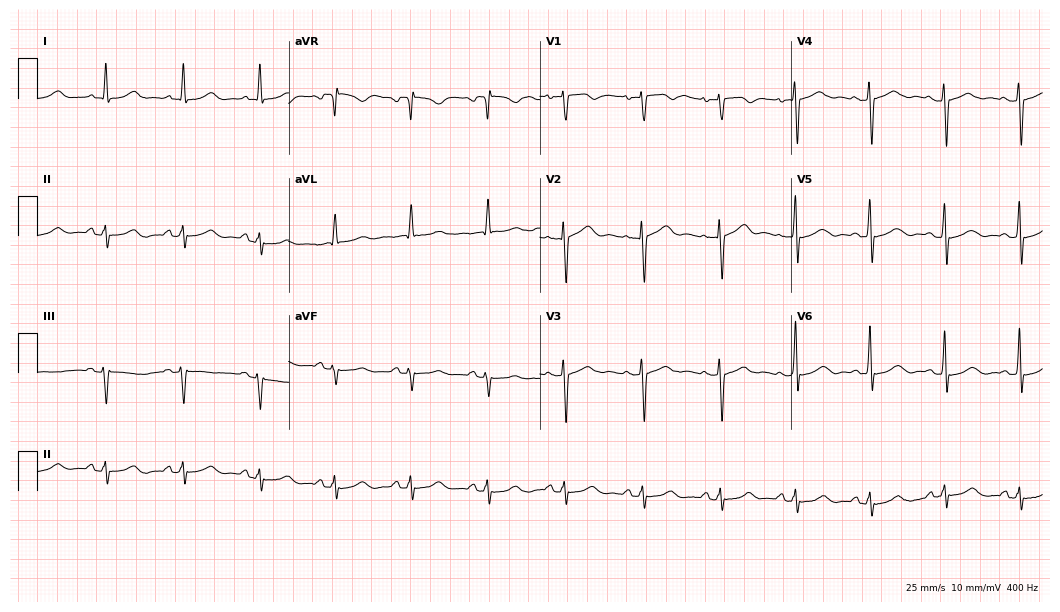
ECG (10.2-second recording at 400 Hz) — a 64-year-old woman. Labelled as a normal ECG.